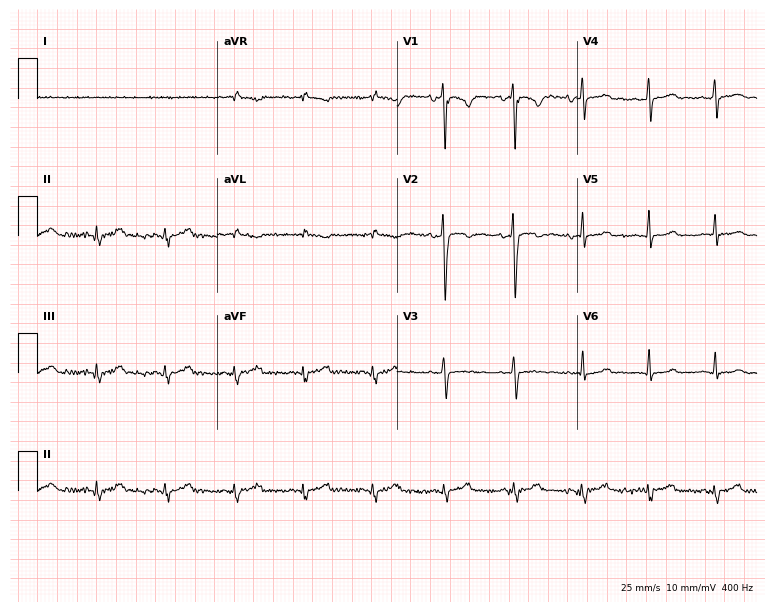
12-lead ECG from a woman, 29 years old (7.3-second recording at 400 Hz). No first-degree AV block, right bundle branch block (RBBB), left bundle branch block (LBBB), sinus bradycardia, atrial fibrillation (AF) or sinus tachycardia recorded for this tracing. Only these six findings were labelled.